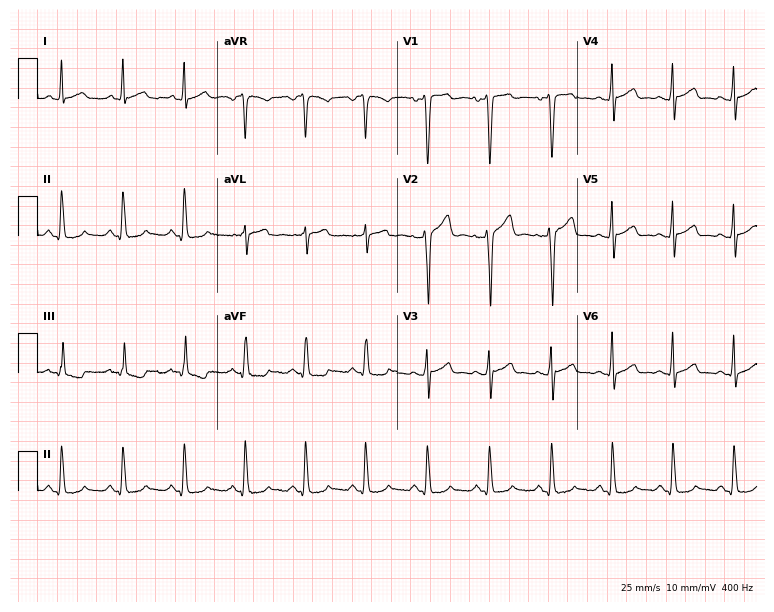
Resting 12-lead electrocardiogram. Patient: a male, 29 years old. Read as a normal ECG.